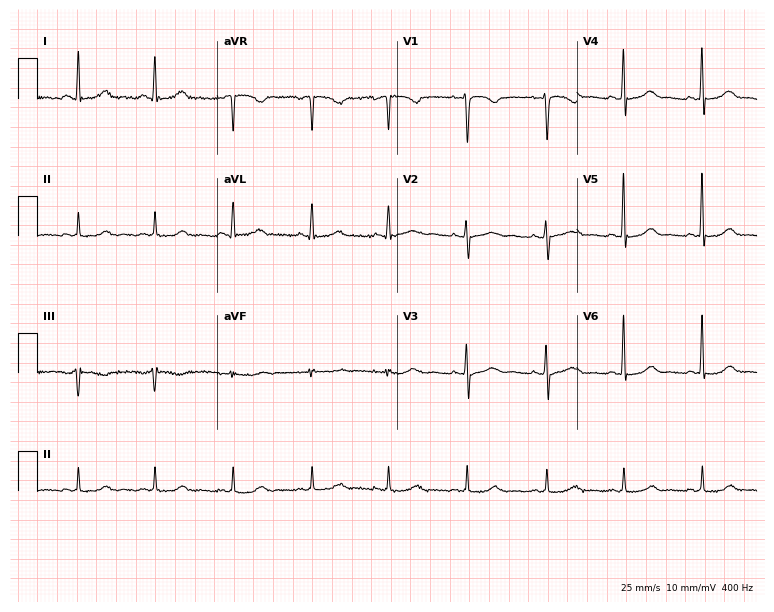
Electrocardiogram, a 45-year-old female. Of the six screened findings (first-degree AV block, right bundle branch block (RBBB), left bundle branch block (LBBB), sinus bradycardia, atrial fibrillation (AF), sinus tachycardia), none is recorded. Findings outside these six are not listed.